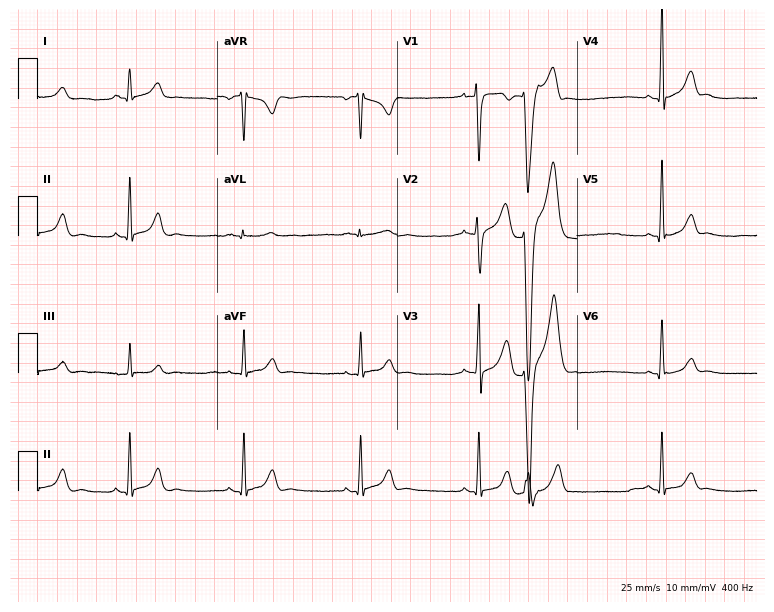
12-lead ECG from a male, 26 years old (7.3-second recording at 400 Hz). No first-degree AV block, right bundle branch block (RBBB), left bundle branch block (LBBB), sinus bradycardia, atrial fibrillation (AF) or sinus tachycardia recorded for this tracing.